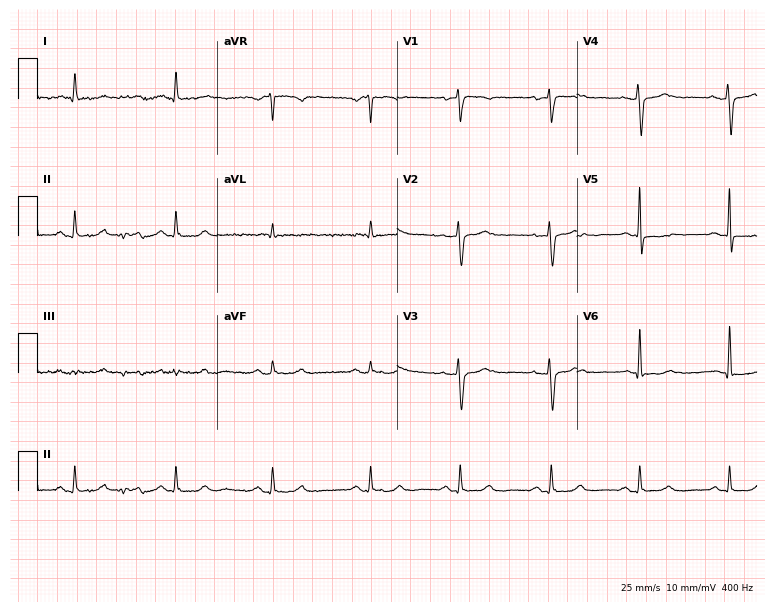
Resting 12-lead electrocardiogram (7.3-second recording at 400 Hz). Patient: a female, 53 years old. None of these six findings is recorded: first-degree AV block, right bundle branch block, left bundle branch block, sinus bradycardia, atrial fibrillation, sinus tachycardia. Only these six findings were labelled.